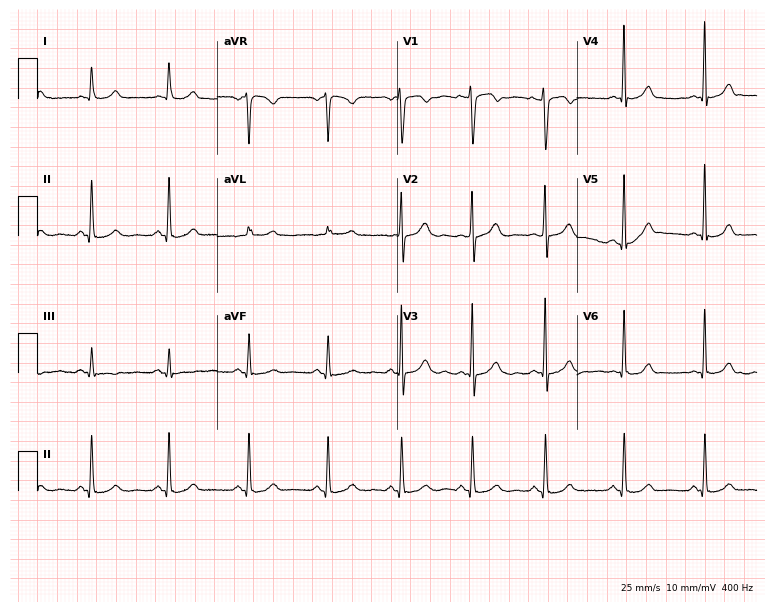
Resting 12-lead electrocardiogram. Patient: a woman, 35 years old. Read as a normal ECG.